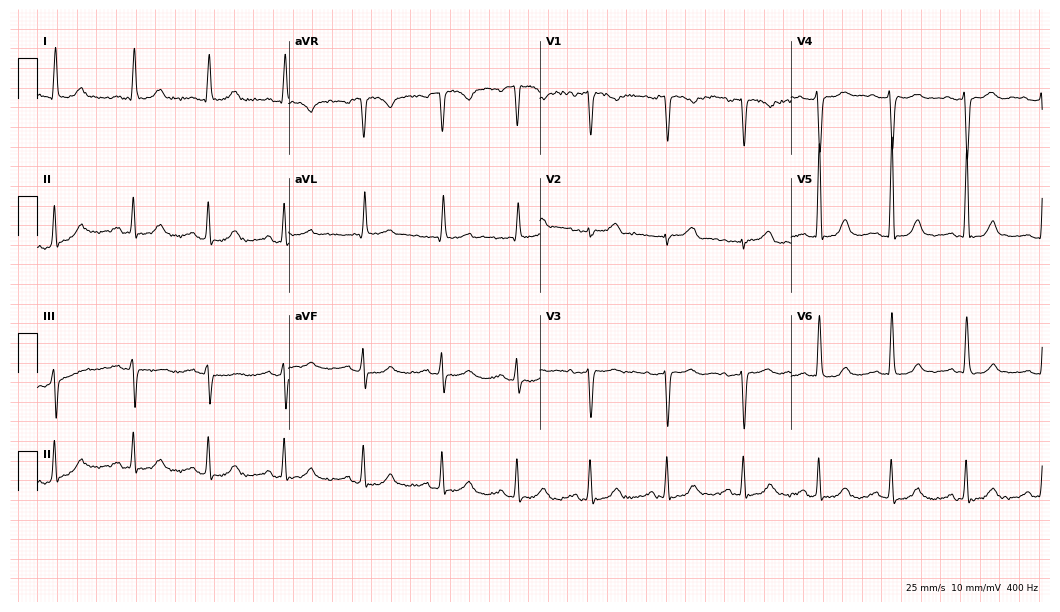
12-lead ECG from a 66-year-old female patient (10.2-second recording at 400 Hz). No first-degree AV block, right bundle branch block, left bundle branch block, sinus bradycardia, atrial fibrillation or sinus tachycardia recorded for this tracing.